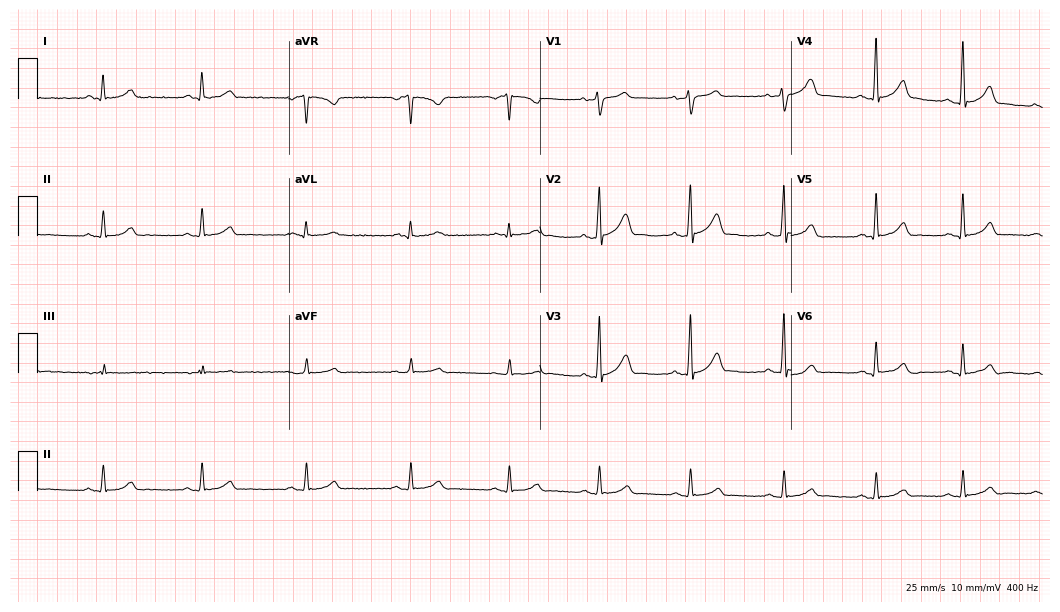
ECG (10.2-second recording at 400 Hz) — a man, 27 years old. Labelled as a normal ECG.